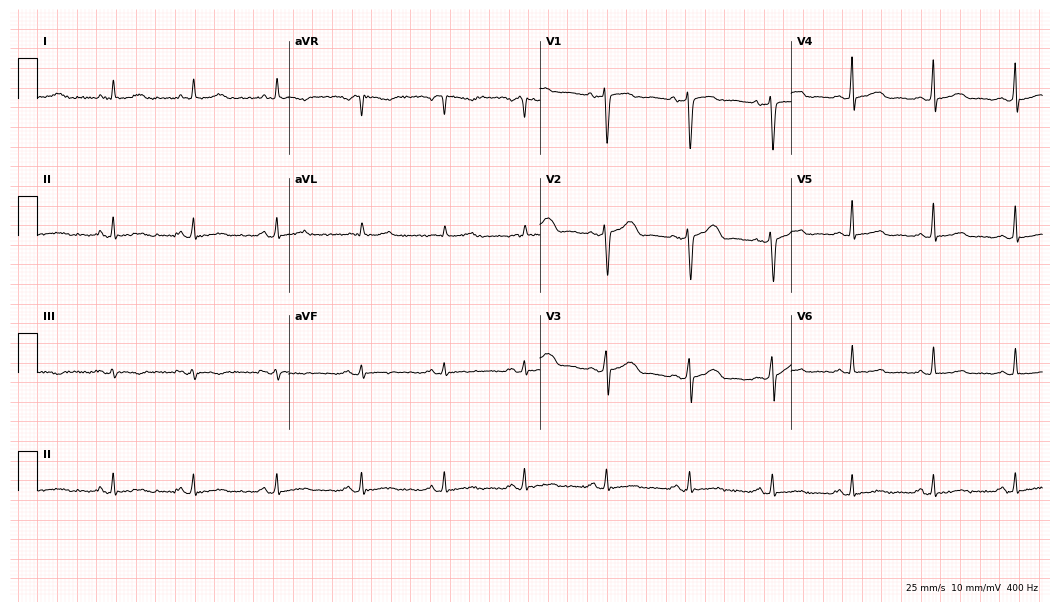
Resting 12-lead electrocardiogram (10.2-second recording at 400 Hz). Patient: a female, 45 years old. Read as a normal ECG.